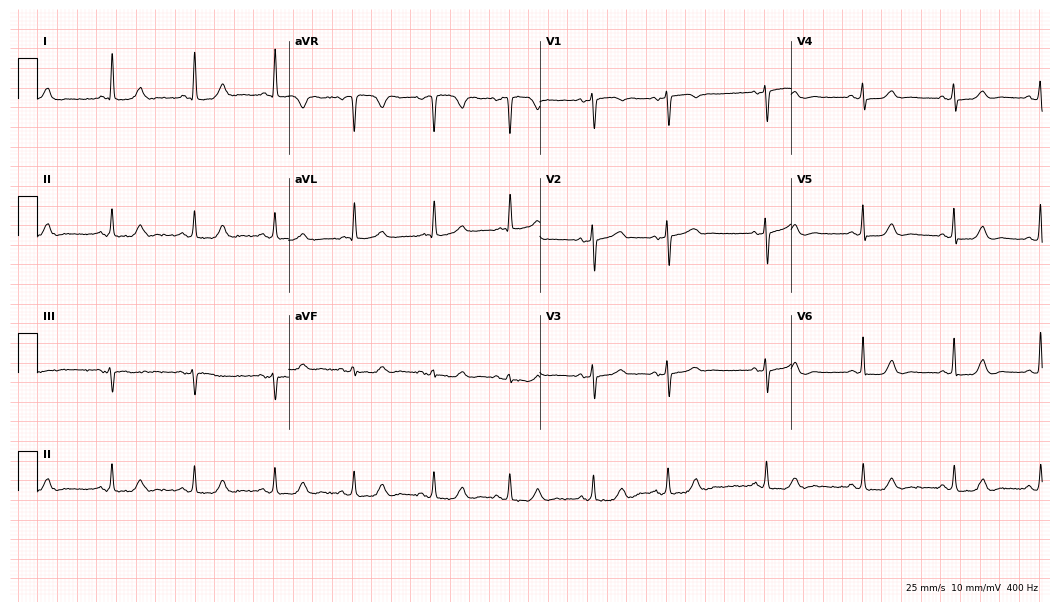
12-lead ECG from an 80-year-old woman. Screened for six findings — first-degree AV block, right bundle branch block (RBBB), left bundle branch block (LBBB), sinus bradycardia, atrial fibrillation (AF), sinus tachycardia — none is recorded.